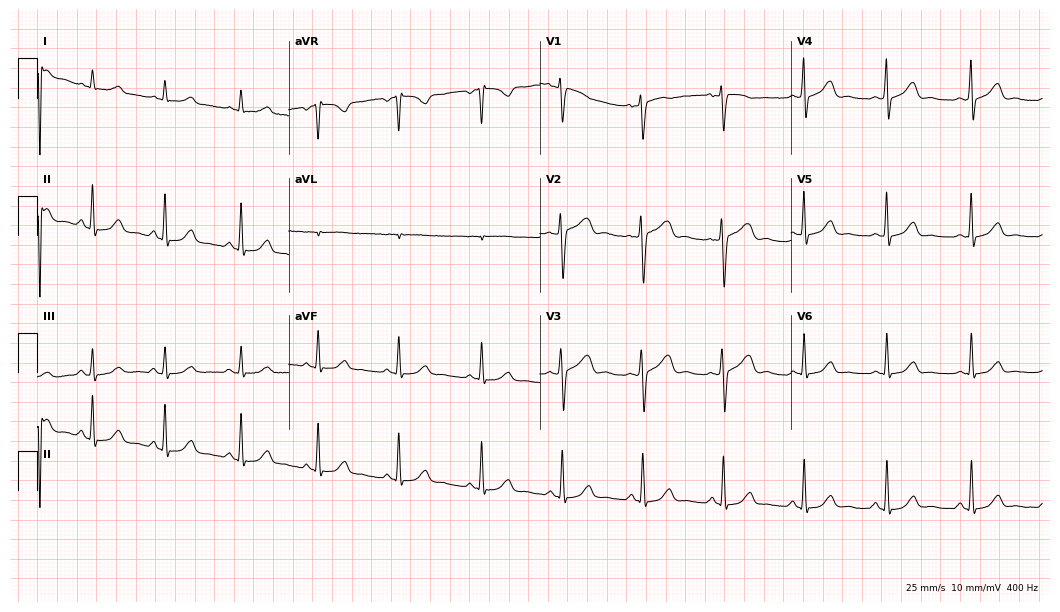
Electrocardiogram (10.2-second recording at 400 Hz), a female patient, 47 years old. Of the six screened findings (first-degree AV block, right bundle branch block (RBBB), left bundle branch block (LBBB), sinus bradycardia, atrial fibrillation (AF), sinus tachycardia), none is recorded.